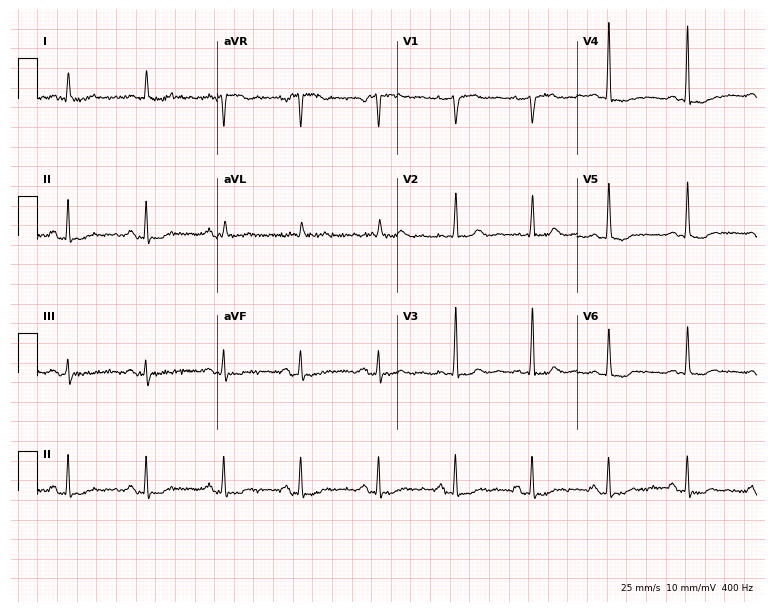
ECG — a 72-year-old female. Screened for six findings — first-degree AV block, right bundle branch block (RBBB), left bundle branch block (LBBB), sinus bradycardia, atrial fibrillation (AF), sinus tachycardia — none is recorded. Only these six findings were labelled.